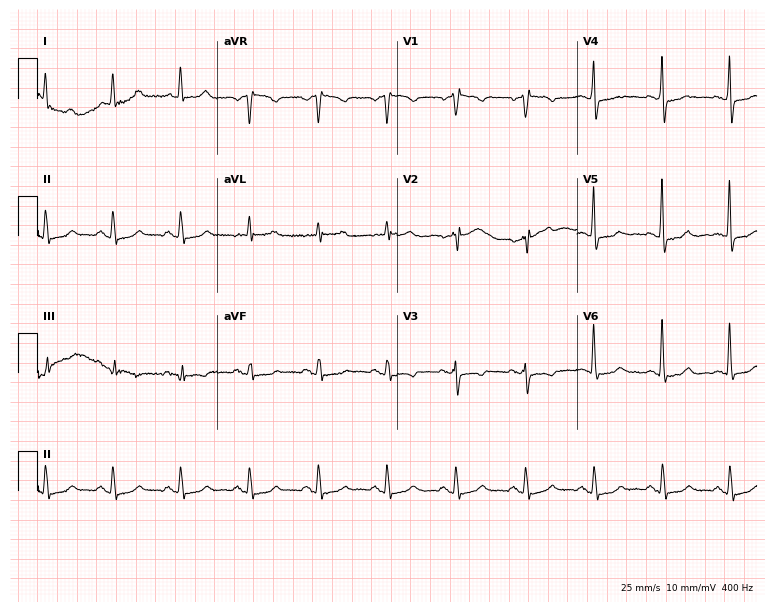
ECG — a 57-year-old female patient. Screened for six findings — first-degree AV block, right bundle branch block, left bundle branch block, sinus bradycardia, atrial fibrillation, sinus tachycardia — none is recorded.